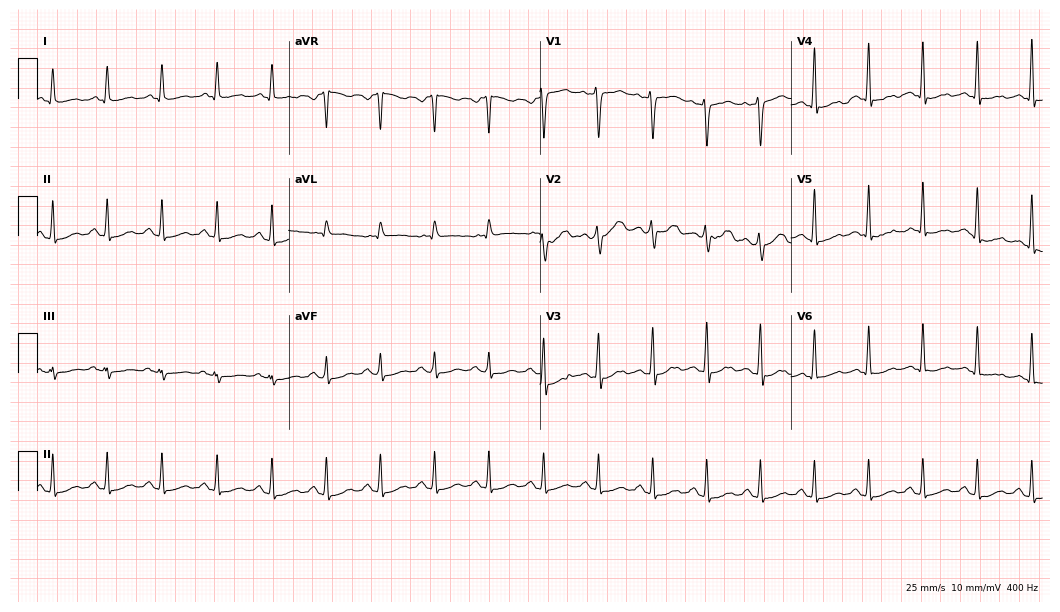
ECG — a female patient, 48 years old. Findings include sinus tachycardia (a sinus rate of 100 beats per minute or more).